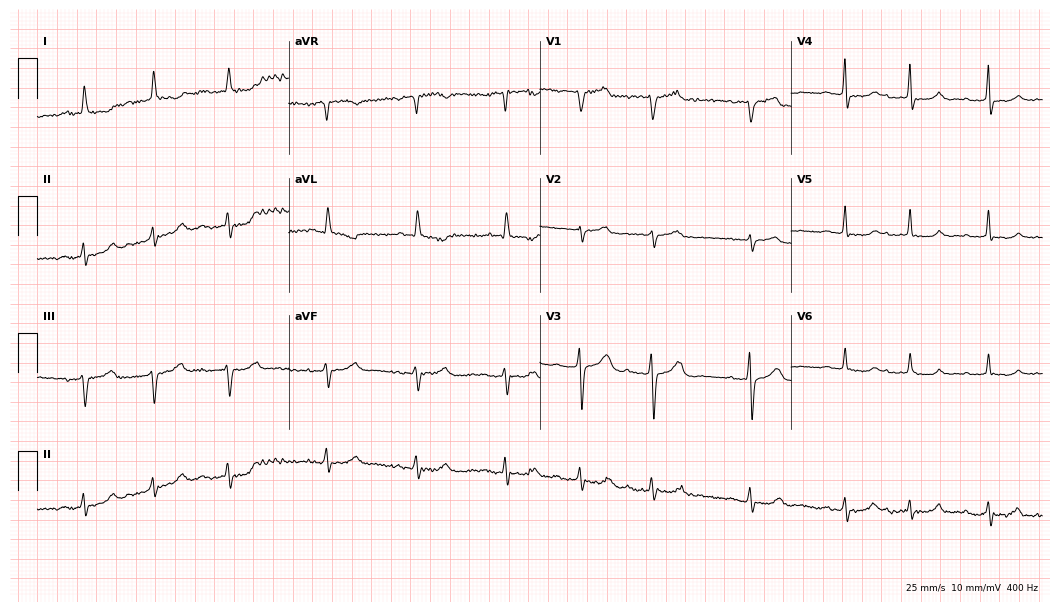
Electrocardiogram, a 69-year-old woman. Overall reading on record: normal ECG.